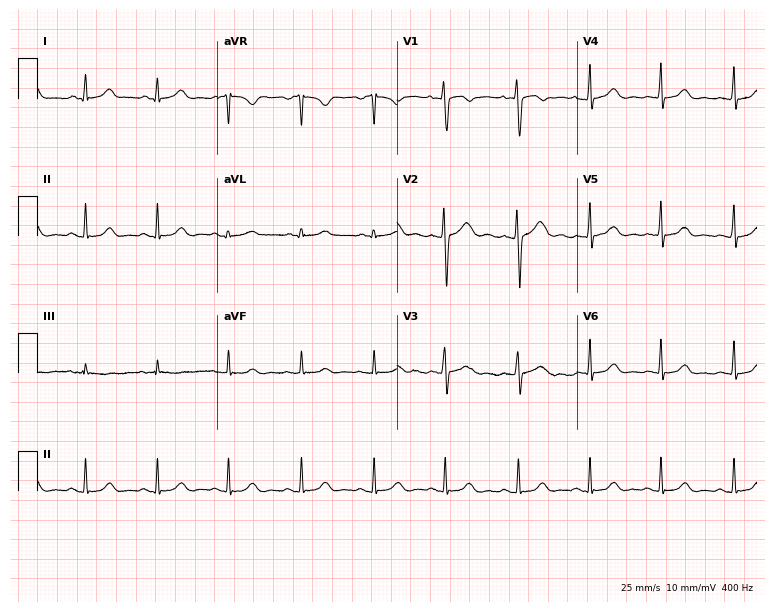
12-lead ECG from a woman, 17 years old. Recorded interpretation: within normal limits.